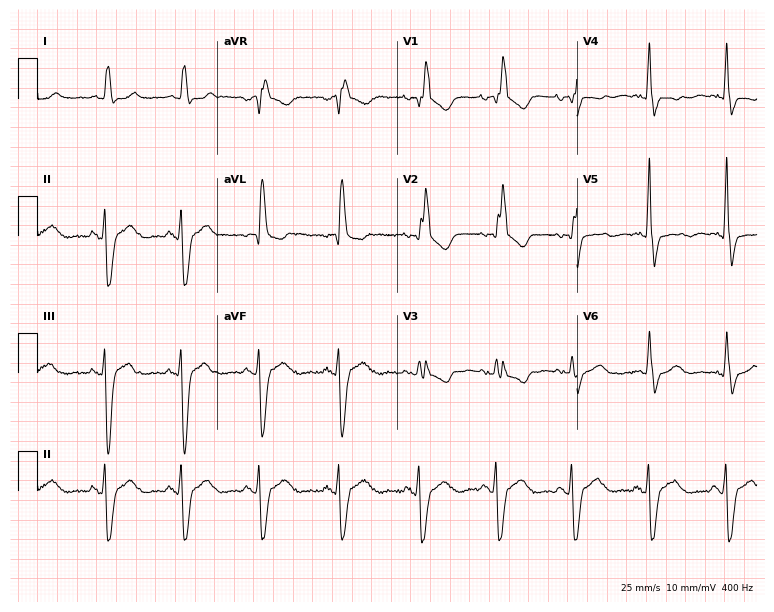
12-lead ECG (7.3-second recording at 400 Hz) from a female patient, 73 years old. Findings include right bundle branch block.